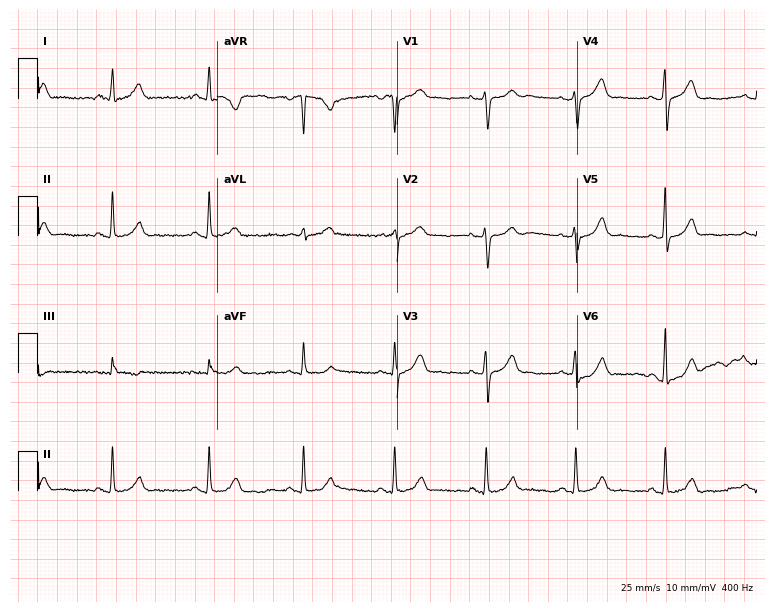
12-lead ECG from a 49-year-old male patient. Recorded interpretation: within normal limits.